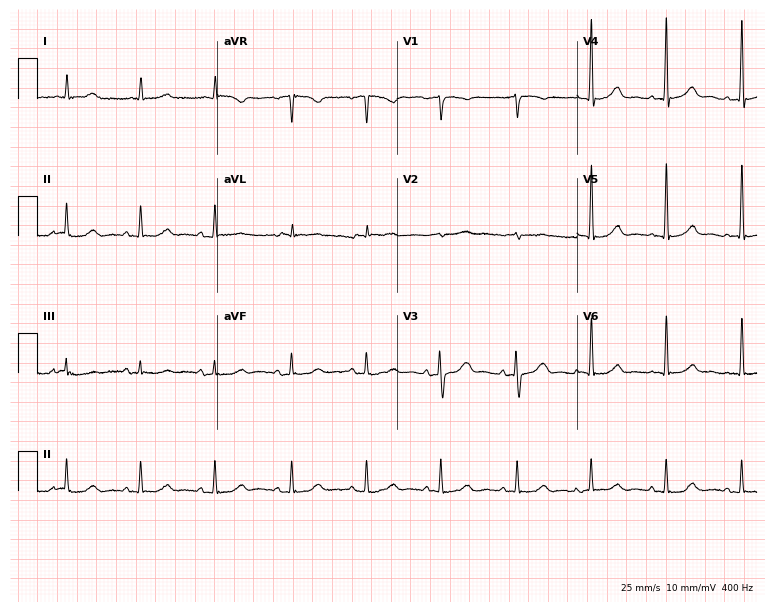
ECG (7.3-second recording at 400 Hz) — an 84-year-old female. Screened for six findings — first-degree AV block, right bundle branch block (RBBB), left bundle branch block (LBBB), sinus bradycardia, atrial fibrillation (AF), sinus tachycardia — none is recorded.